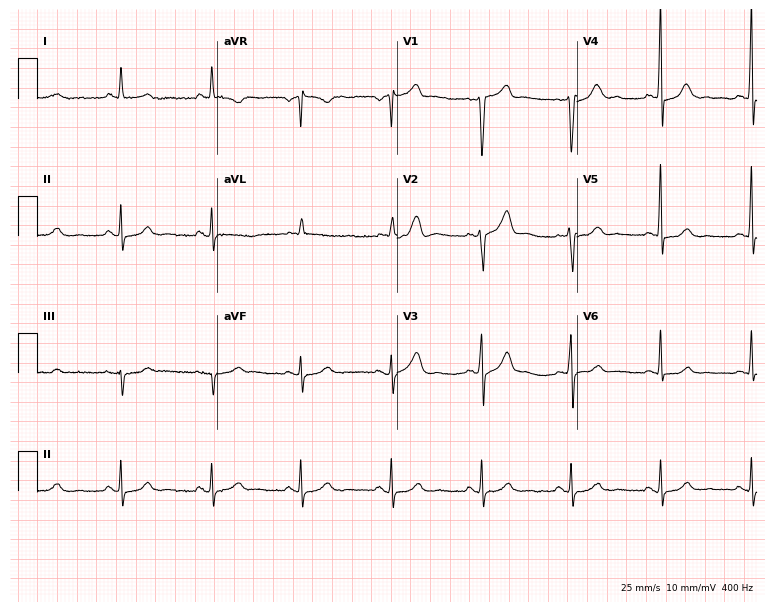
12-lead ECG from a 65-year-old male (7.3-second recording at 400 Hz). No first-degree AV block, right bundle branch block (RBBB), left bundle branch block (LBBB), sinus bradycardia, atrial fibrillation (AF) or sinus tachycardia recorded for this tracing.